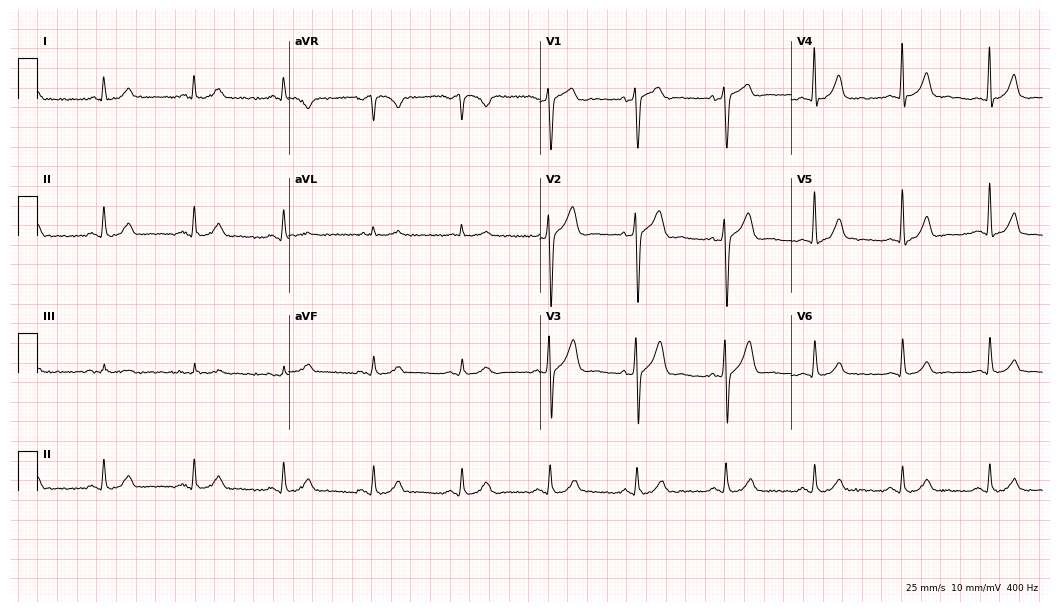
12-lead ECG from a 47-year-old male. No first-degree AV block, right bundle branch block, left bundle branch block, sinus bradycardia, atrial fibrillation or sinus tachycardia recorded for this tracing. Only these six findings were labelled.